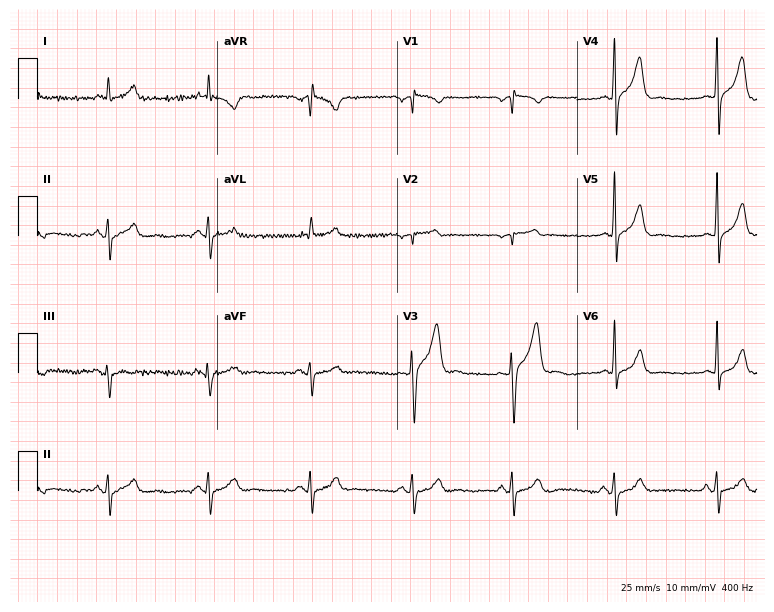
12-lead ECG (7.3-second recording at 400 Hz) from a male patient, 49 years old. Screened for six findings — first-degree AV block, right bundle branch block, left bundle branch block, sinus bradycardia, atrial fibrillation, sinus tachycardia — none is recorded.